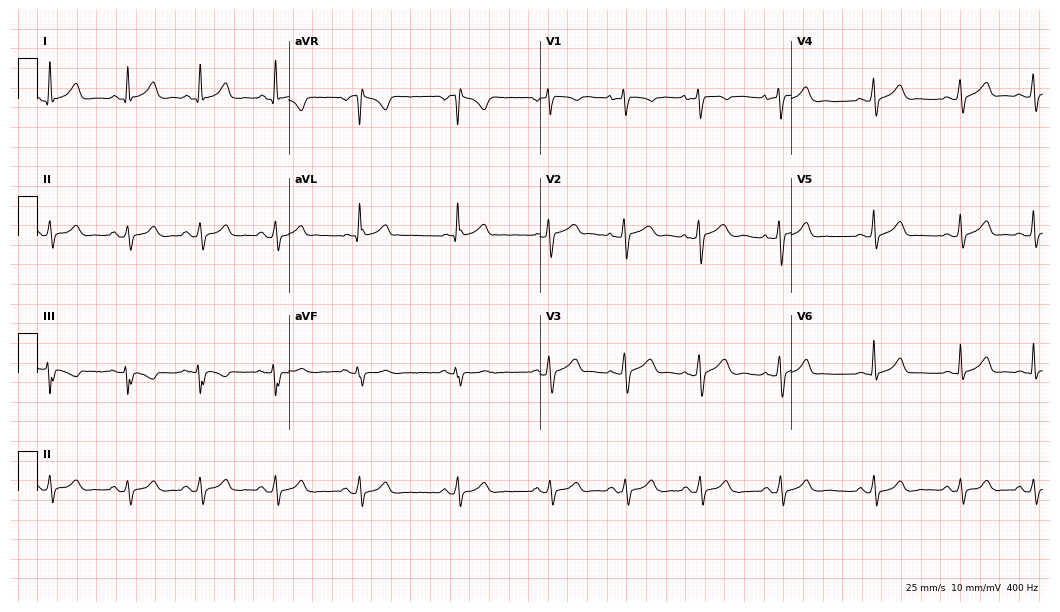
Electrocardiogram (10.2-second recording at 400 Hz), a 26-year-old female patient. Of the six screened findings (first-degree AV block, right bundle branch block, left bundle branch block, sinus bradycardia, atrial fibrillation, sinus tachycardia), none is recorded. Only these six findings were labelled.